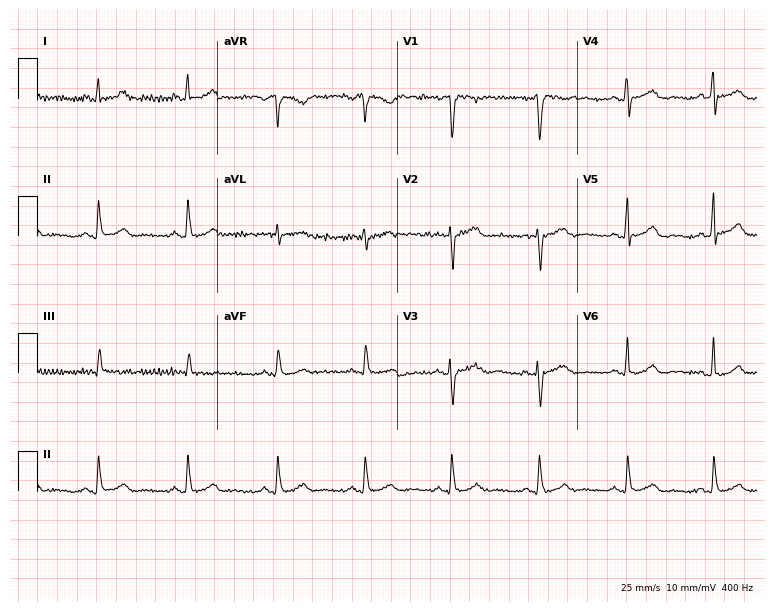
12-lead ECG from a 40-year-old man. No first-degree AV block, right bundle branch block, left bundle branch block, sinus bradycardia, atrial fibrillation or sinus tachycardia recorded for this tracing.